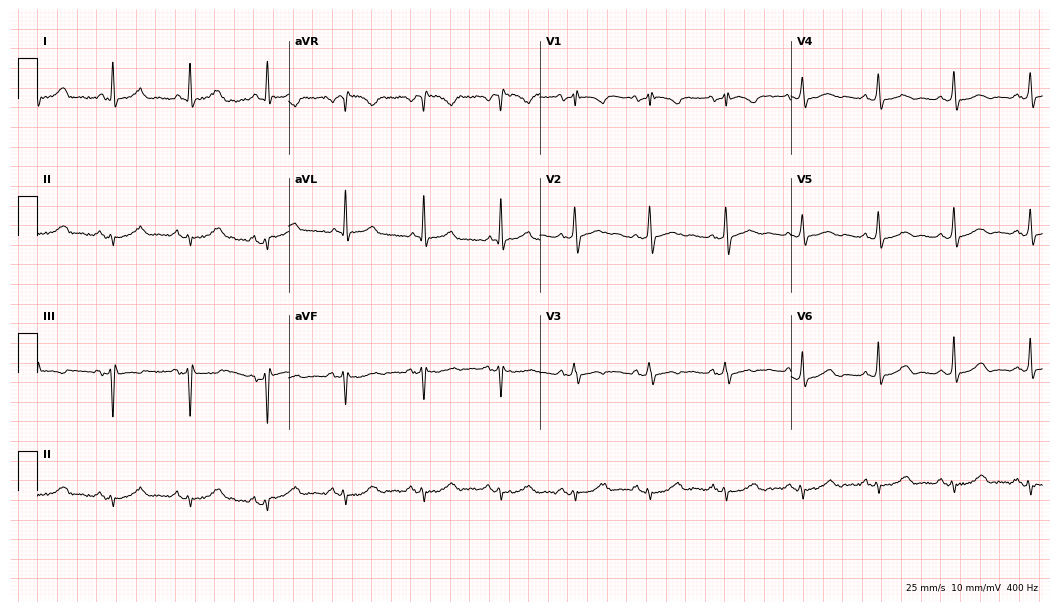
Electrocardiogram (10.2-second recording at 400 Hz), a 76-year-old female. Of the six screened findings (first-degree AV block, right bundle branch block (RBBB), left bundle branch block (LBBB), sinus bradycardia, atrial fibrillation (AF), sinus tachycardia), none is recorded. Findings outside these six are not listed.